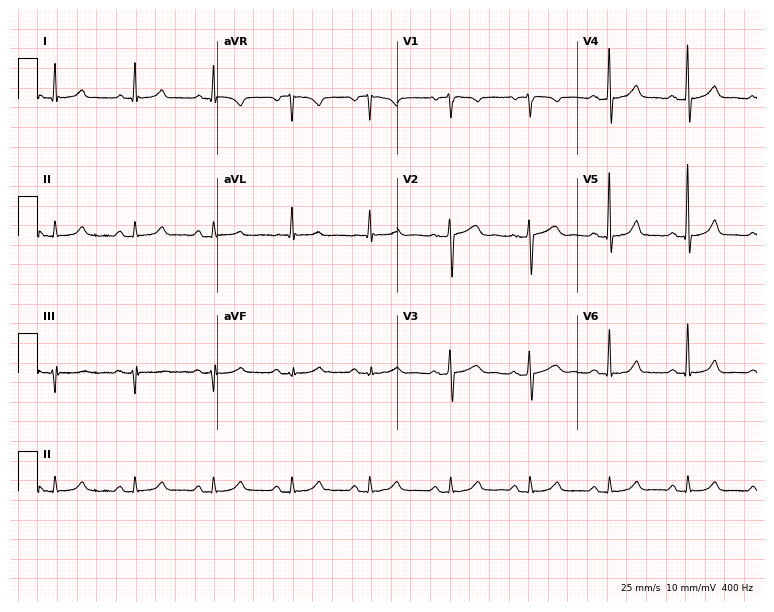
12-lead ECG from a female patient, 55 years old. Labelled as a normal ECG.